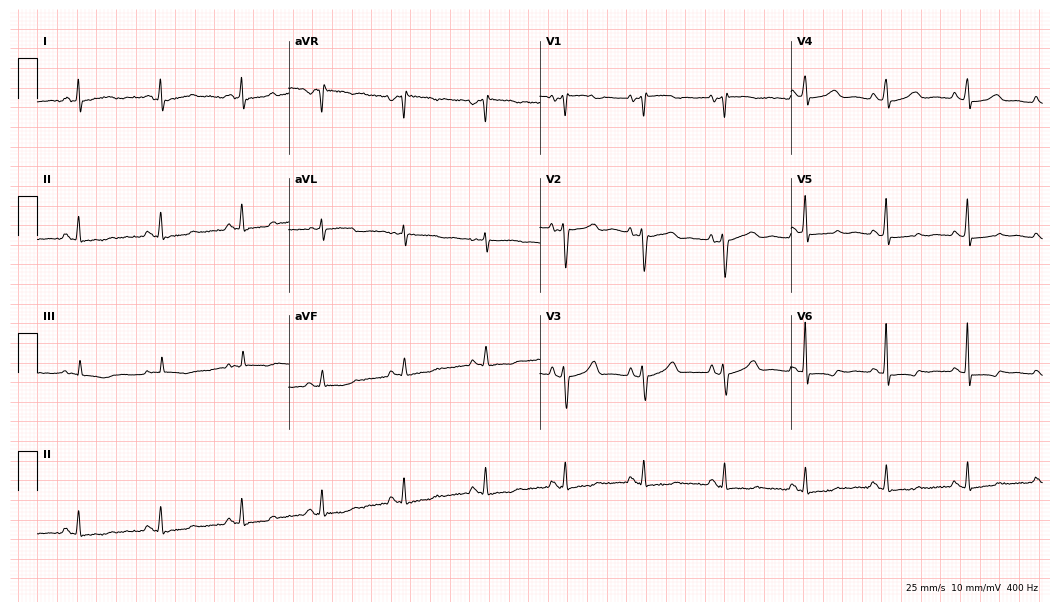
Electrocardiogram (10.2-second recording at 400 Hz), a 35-year-old female. Overall reading on record: normal ECG.